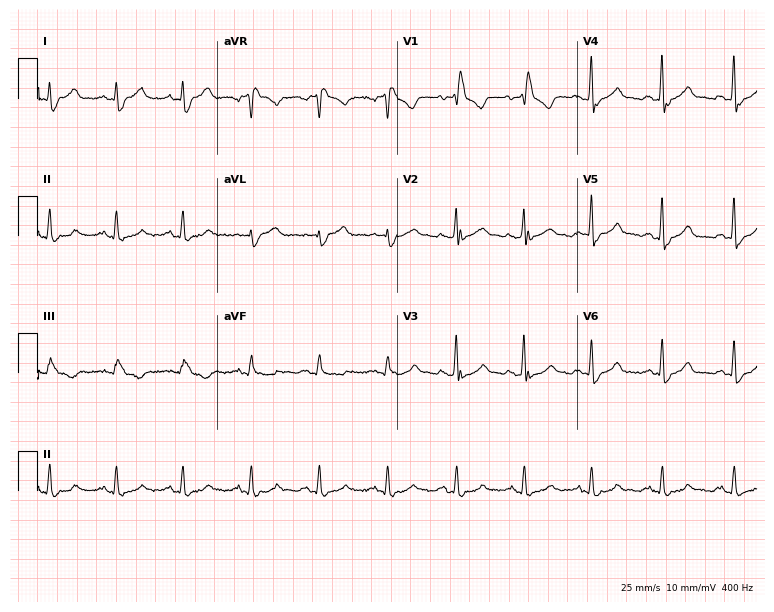
ECG — a 65-year-old man. Findings include right bundle branch block (RBBB).